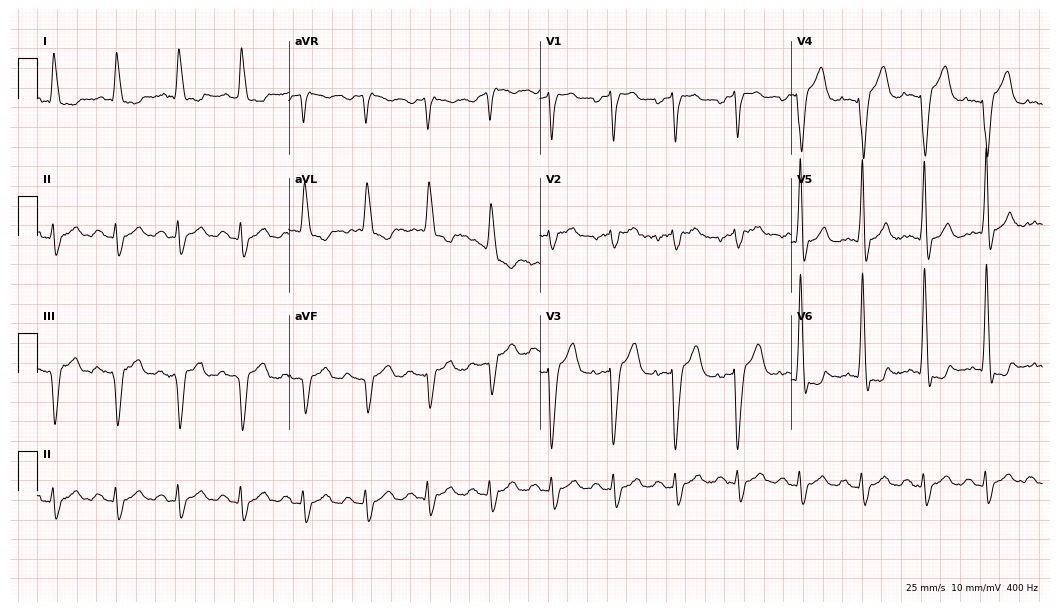
Resting 12-lead electrocardiogram. Patient: a 70-year-old man. None of these six findings is recorded: first-degree AV block, right bundle branch block, left bundle branch block, sinus bradycardia, atrial fibrillation, sinus tachycardia. Other findings, if any, are not listed.